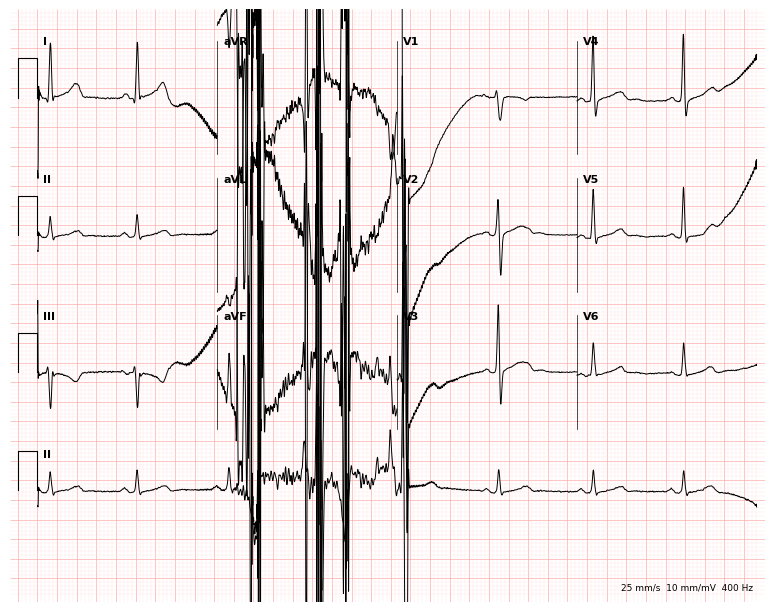
ECG (7.3-second recording at 400 Hz) — a male, 27 years old. Screened for six findings — first-degree AV block, right bundle branch block (RBBB), left bundle branch block (LBBB), sinus bradycardia, atrial fibrillation (AF), sinus tachycardia — none is recorded.